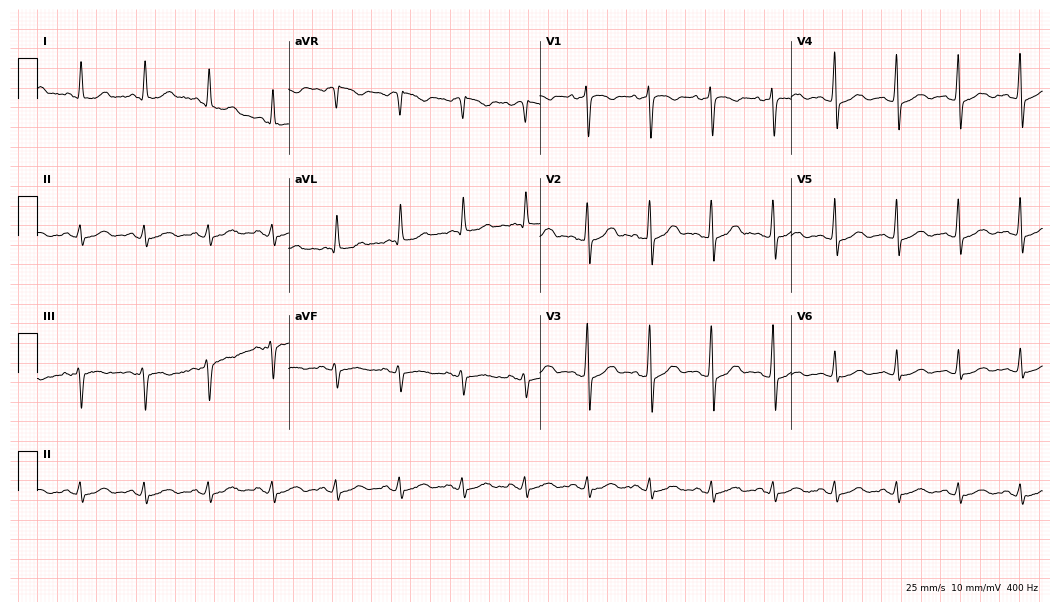
12-lead ECG from a 56-year-old female patient. Recorded interpretation: within normal limits.